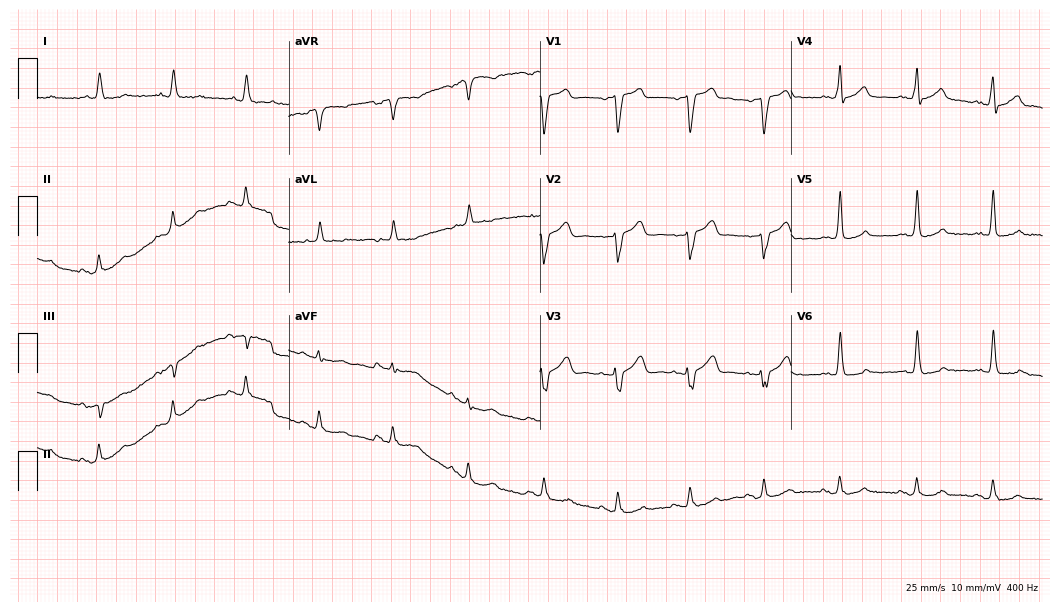
Resting 12-lead electrocardiogram. Patient: a male, 70 years old. None of these six findings is recorded: first-degree AV block, right bundle branch block, left bundle branch block, sinus bradycardia, atrial fibrillation, sinus tachycardia.